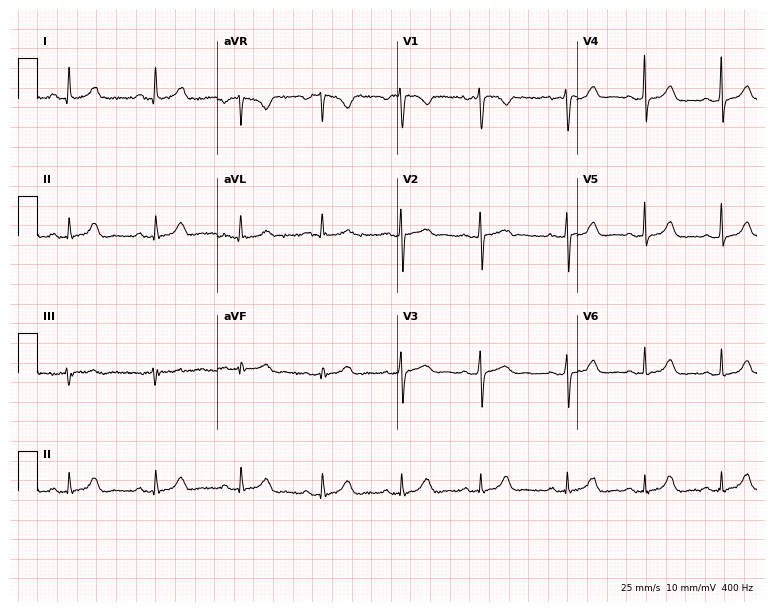
Resting 12-lead electrocardiogram. Patient: a female, 42 years old. Read as a normal ECG.